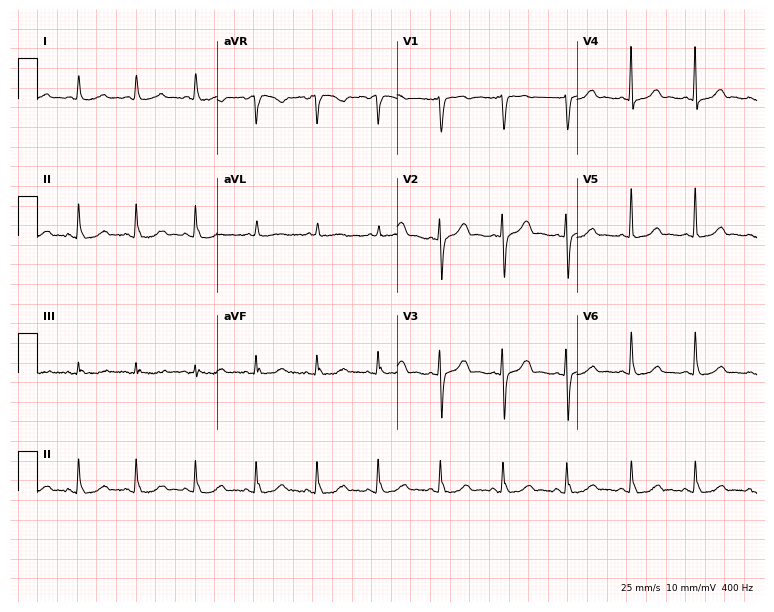
12-lead ECG from a woman, 64 years old. Labelled as a normal ECG.